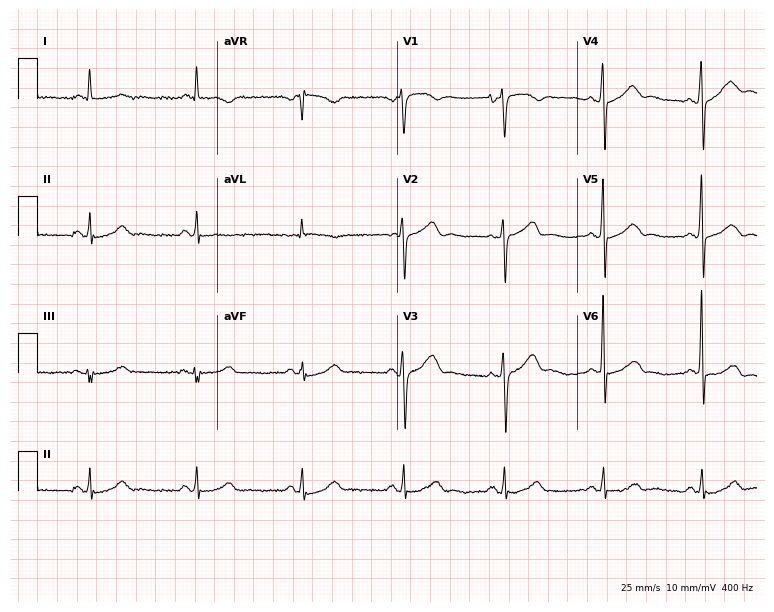
Resting 12-lead electrocardiogram (7.3-second recording at 400 Hz). Patient: a 72-year-old male. Read as a normal ECG.